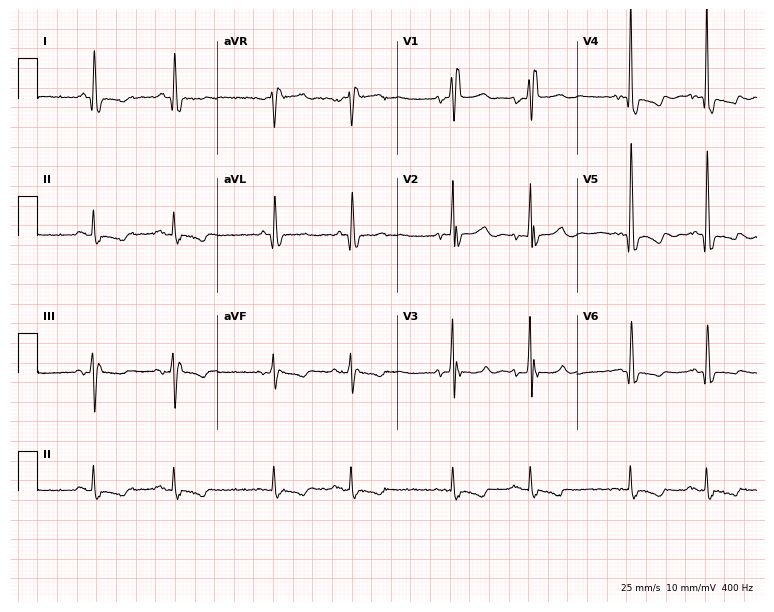
Standard 12-lead ECG recorded from a 75-year-old female patient (7.3-second recording at 400 Hz). The tracing shows right bundle branch block (RBBB).